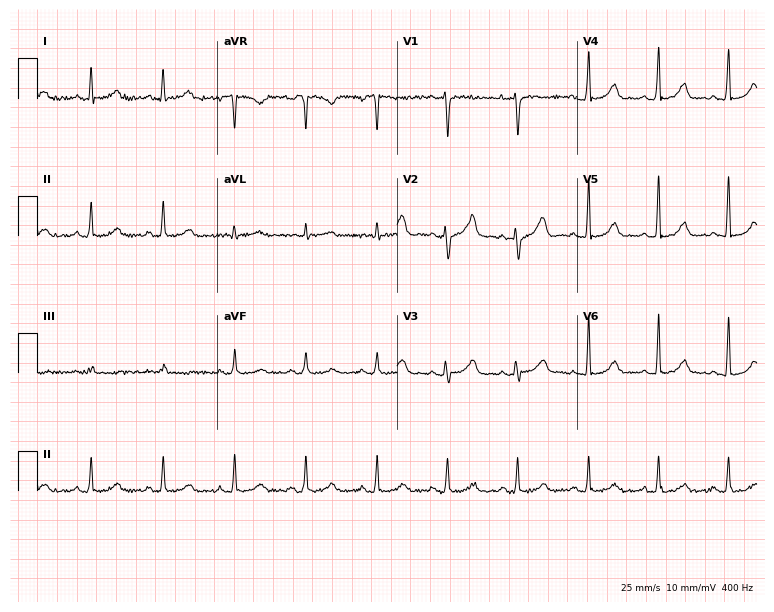
Resting 12-lead electrocardiogram (7.3-second recording at 400 Hz). Patient: a 39-year-old female. Read as a normal ECG.